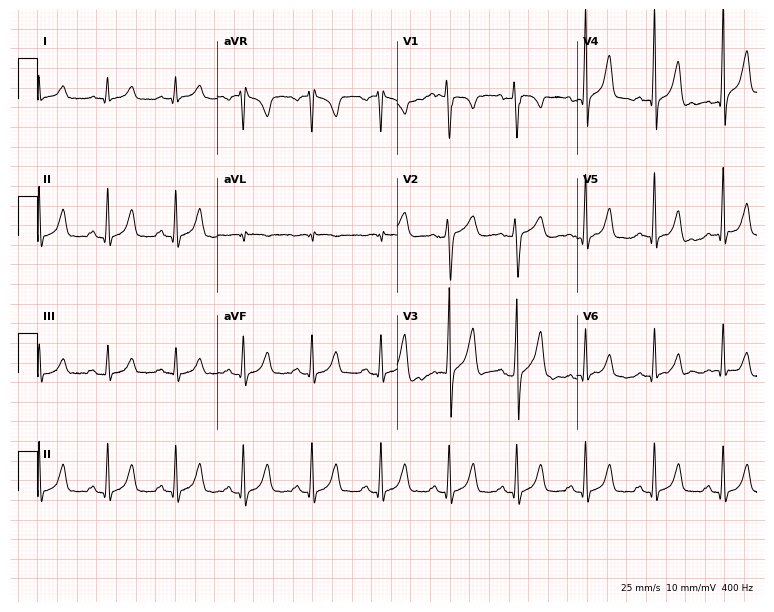
Standard 12-lead ECG recorded from a 51-year-old male patient (7.3-second recording at 400 Hz). Read as a normal ECG.